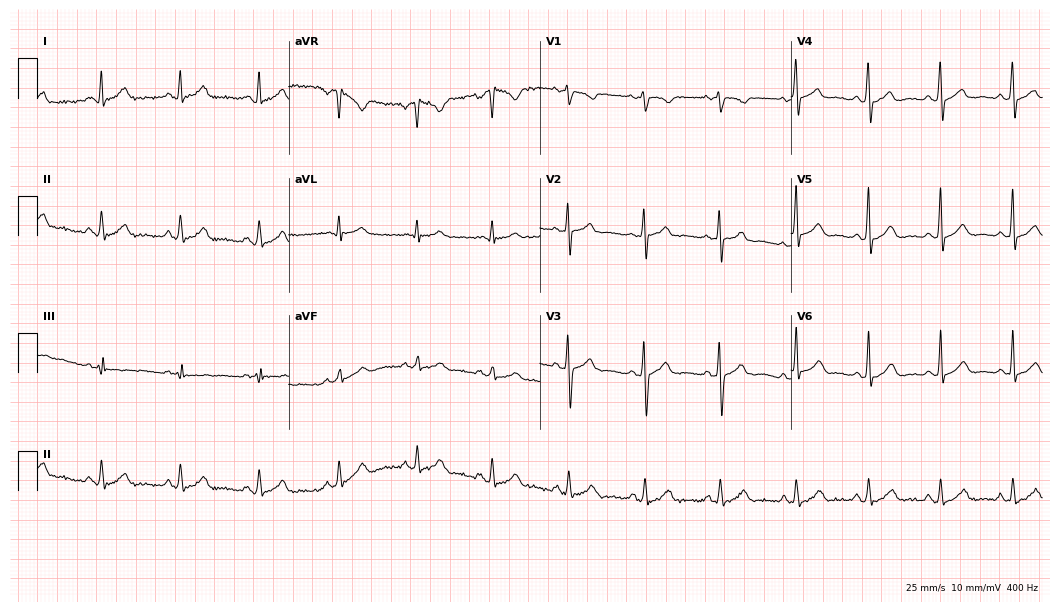
Electrocardiogram (10.2-second recording at 400 Hz), a female, 24 years old. Overall reading on record: normal ECG.